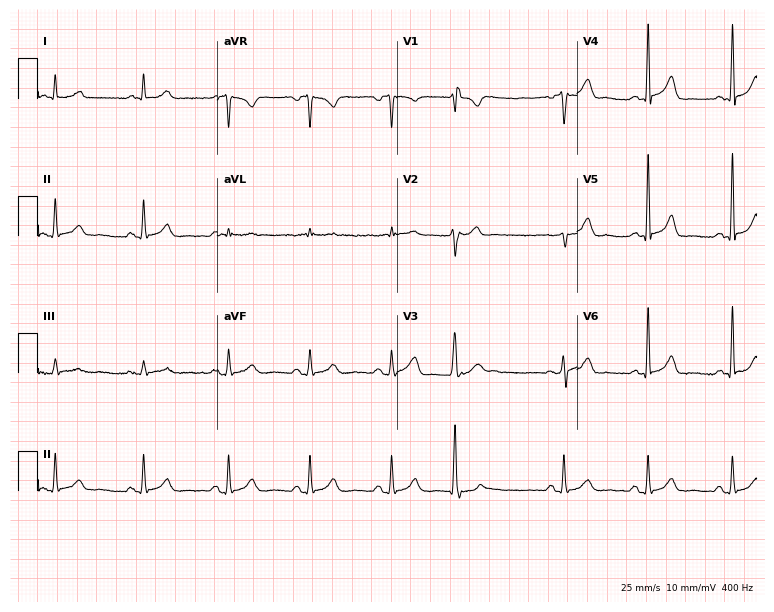
Standard 12-lead ECG recorded from a male patient, 52 years old. None of these six findings is recorded: first-degree AV block, right bundle branch block, left bundle branch block, sinus bradycardia, atrial fibrillation, sinus tachycardia.